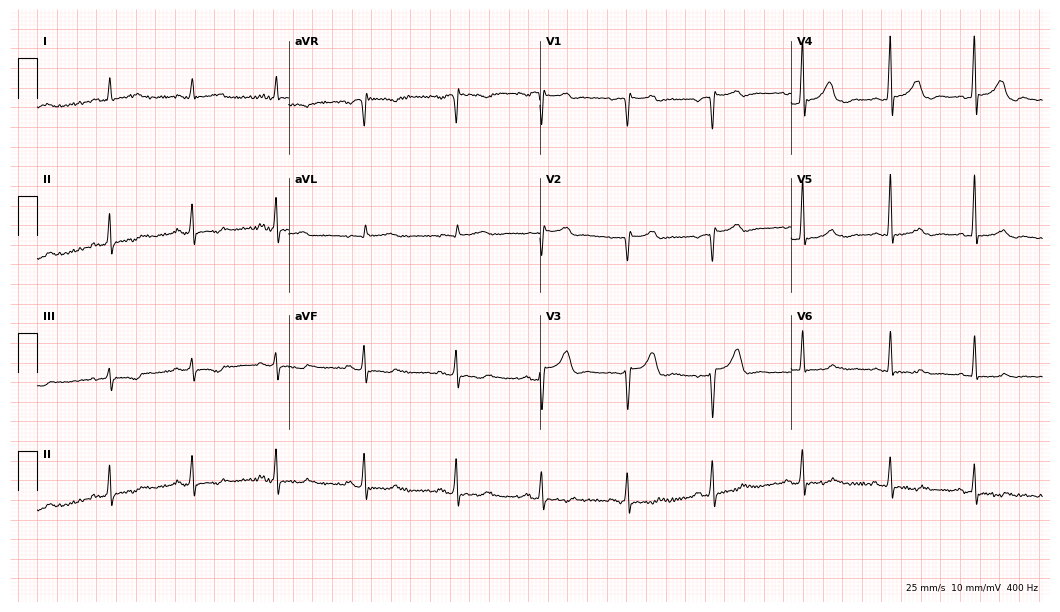
12-lead ECG from a man, 59 years old (10.2-second recording at 400 Hz). No first-degree AV block, right bundle branch block (RBBB), left bundle branch block (LBBB), sinus bradycardia, atrial fibrillation (AF) or sinus tachycardia recorded for this tracing. Findings outside these six are not listed.